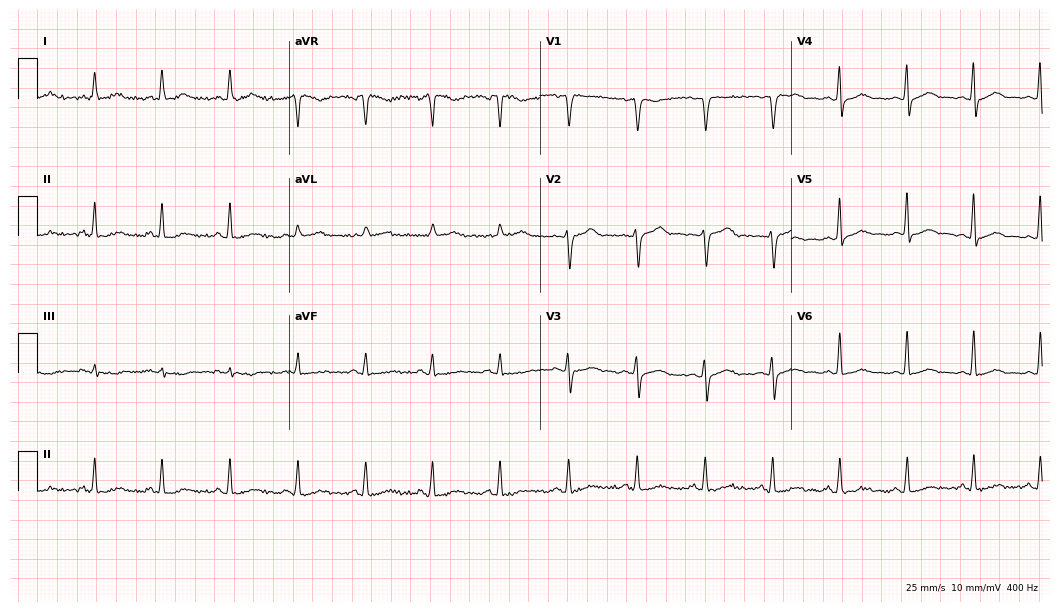
12-lead ECG from a female, 48 years old (10.2-second recording at 400 Hz). Recorded interpretation: within normal limits.